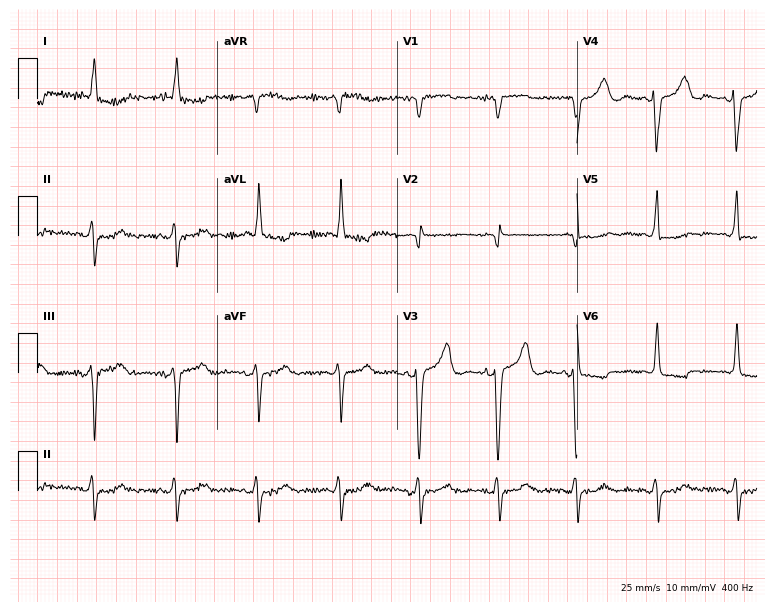
12-lead ECG from a female, 64 years old. No first-degree AV block, right bundle branch block, left bundle branch block, sinus bradycardia, atrial fibrillation or sinus tachycardia recorded for this tracing. Findings outside these six are not listed.